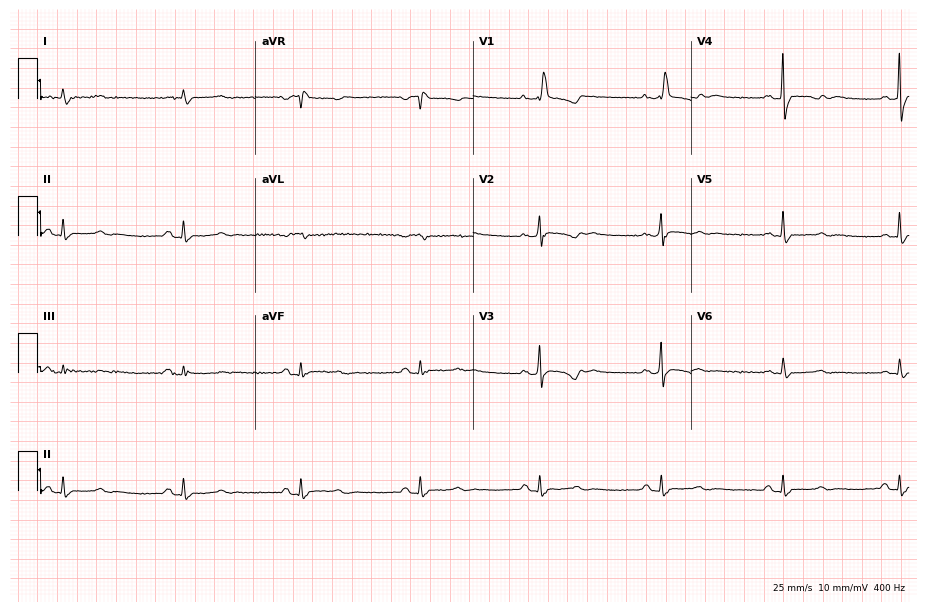
Standard 12-lead ECG recorded from an 85-year-old woman. The tracing shows sinus bradycardia (a sinus rate of 50 beats per minute or less).